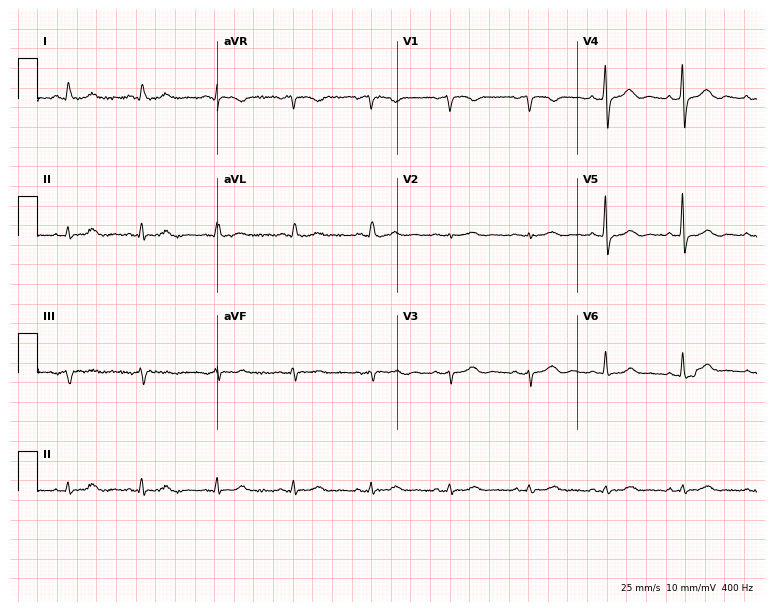
Standard 12-lead ECG recorded from a 65-year-old woman. Read as a normal ECG.